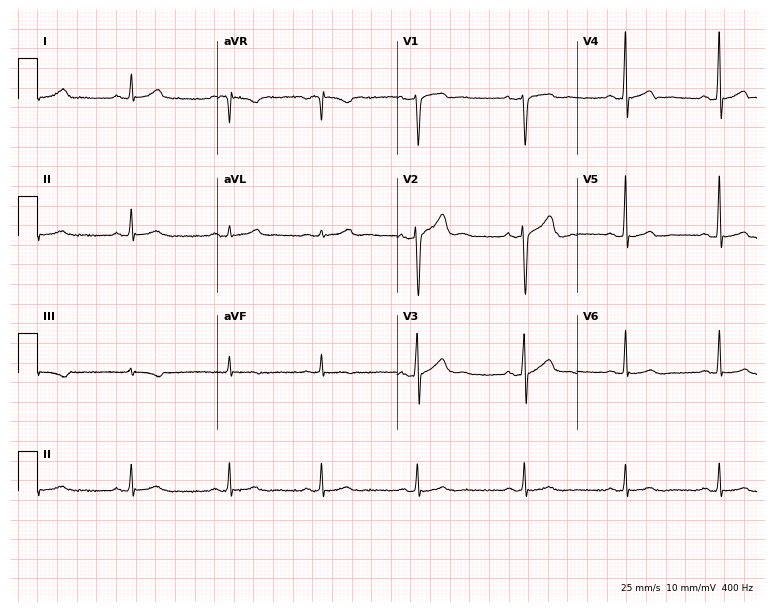
Standard 12-lead ECG recorded from a 40-year-old man. Read as a normal ECG.